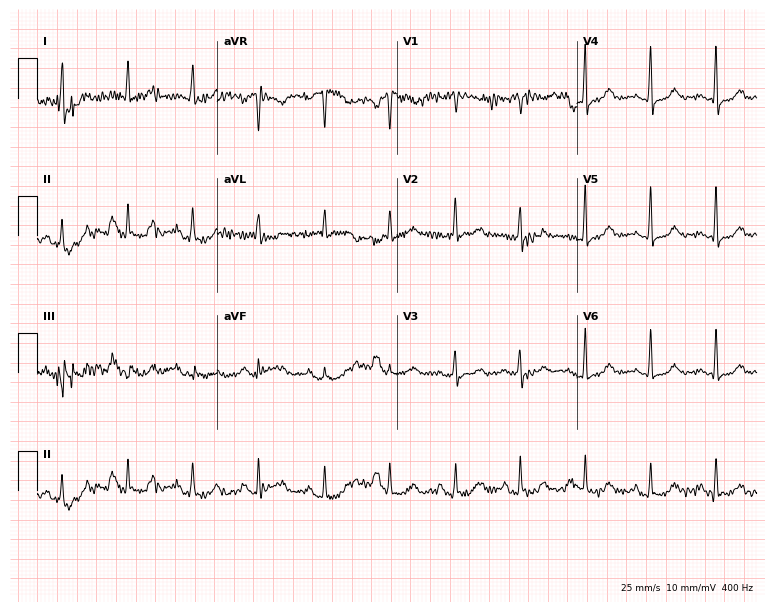
12-lead ECG from a female, 71 years old (7.3-second recording at 400 Hz). Recorded interpretation: within normal limits.